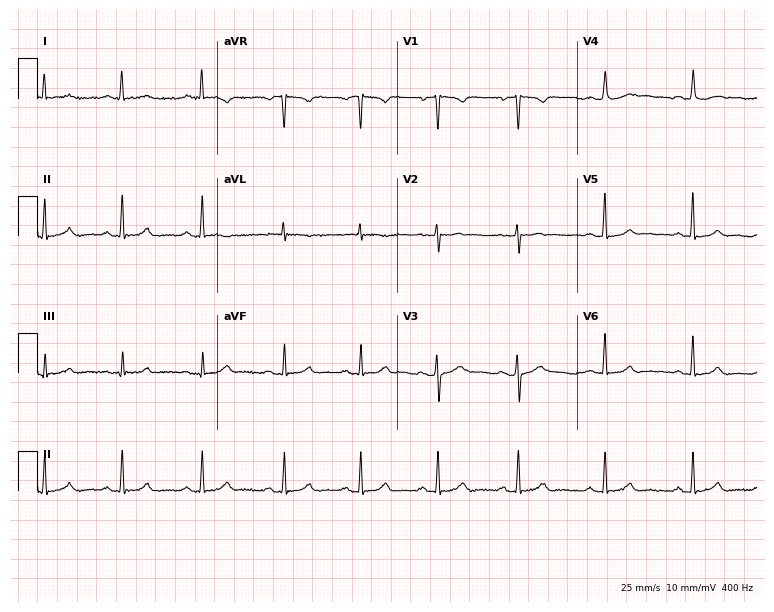
Standard 12-lead ECG recorded from a 23-year-old female. Read as a normal ECG.